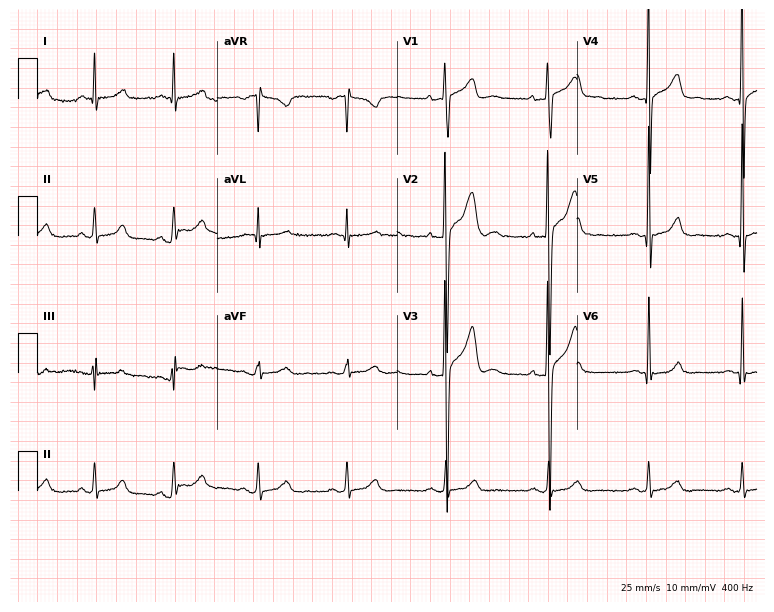
12-lead ECG (7.3-second recording at 400 Hz) from a male, 30 years old. Labelled as a normal ECG.